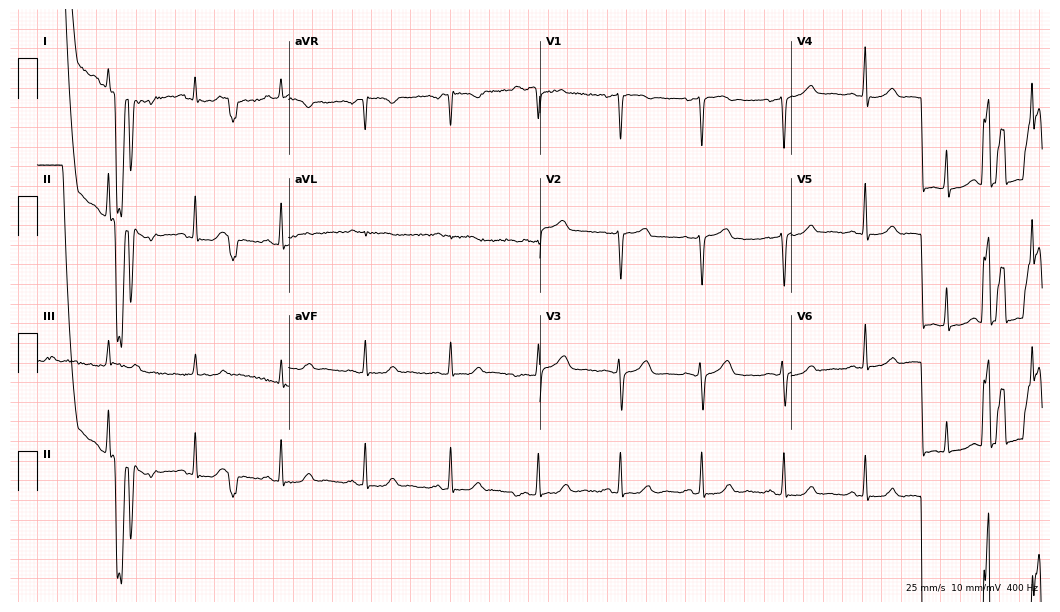
12-lead ECG (10.2-second recording at 400 Hz) from a 35-year-old woman. Screened for six findings — first-degree AV block, right bundle branch block, left bundle branch block, sinus bradycardia, atrial fibrillation, sinus tachycardia — none is recorded.